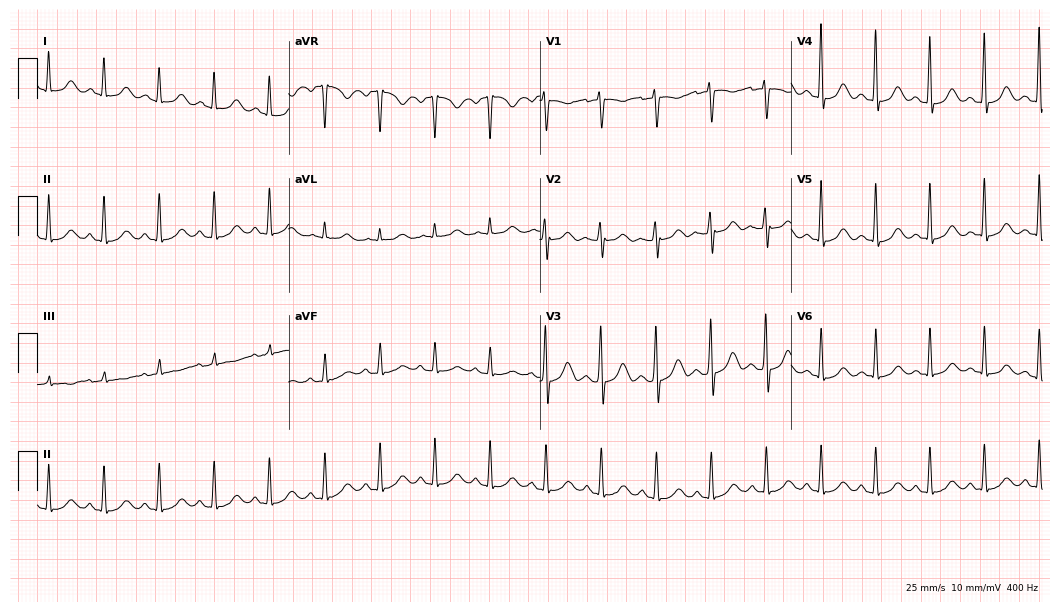
12-lead ECG from a 34-year-old female patient. Shows sinus tachycardia (a sinus rate of 100 beats per minute or more).